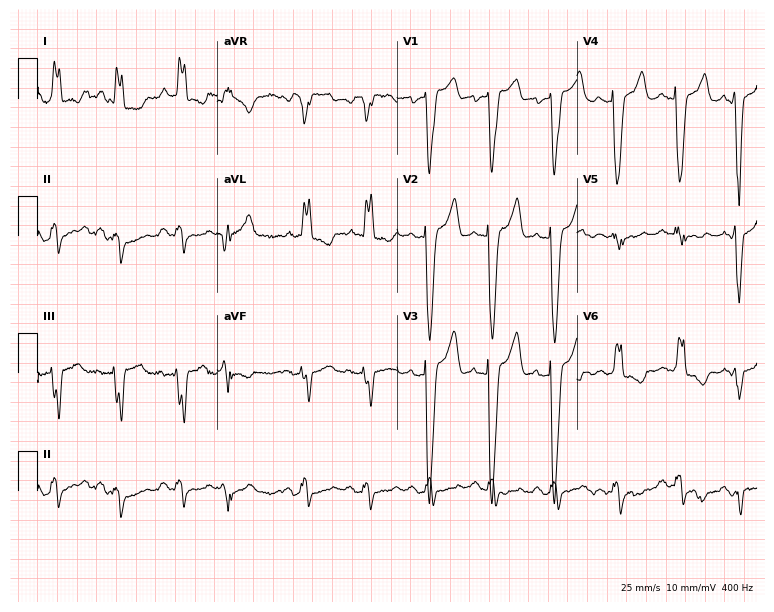
Standard 12-lead ECG recorded from an 83-year-old woman (7.3-second recording at 400 Hz). The tracing shows left bundle branch block (LBBB).